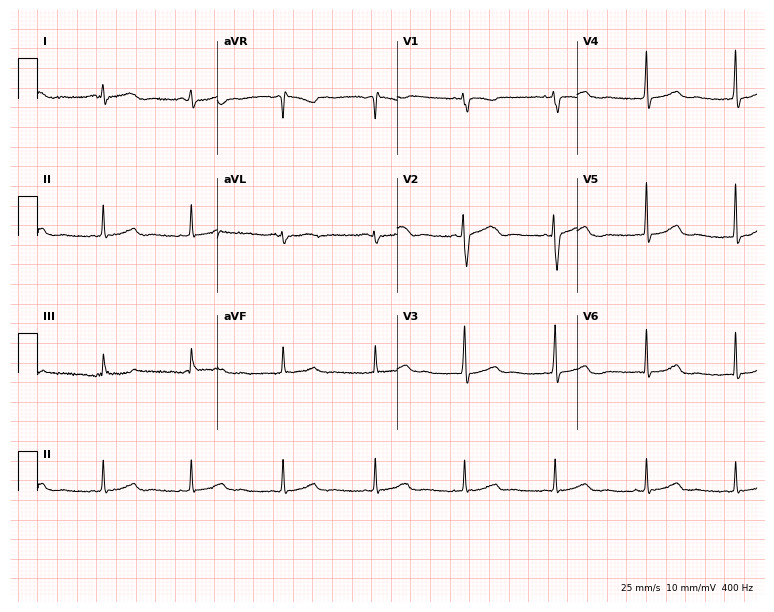
ECG — a 25-year-old female. Labelled as a normal ECG.